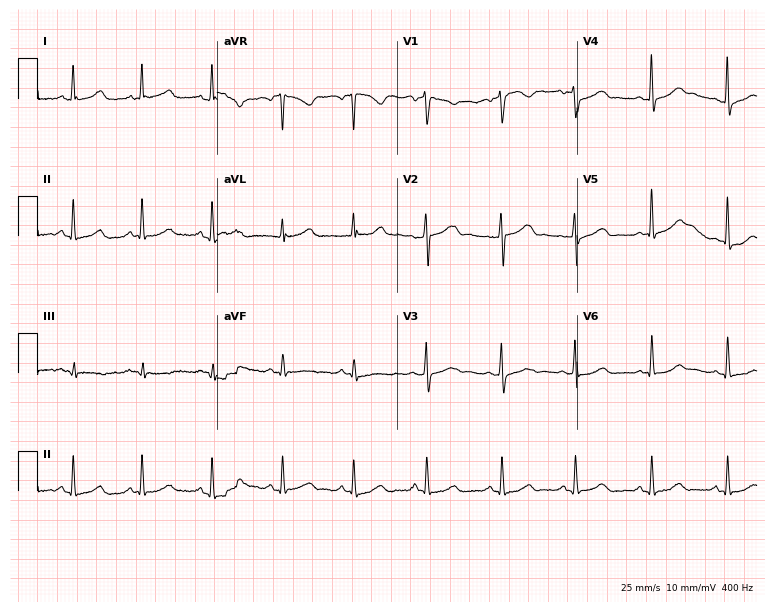
12-lead ECG from a 43-year-old woman. Labelled as a normal ECG.